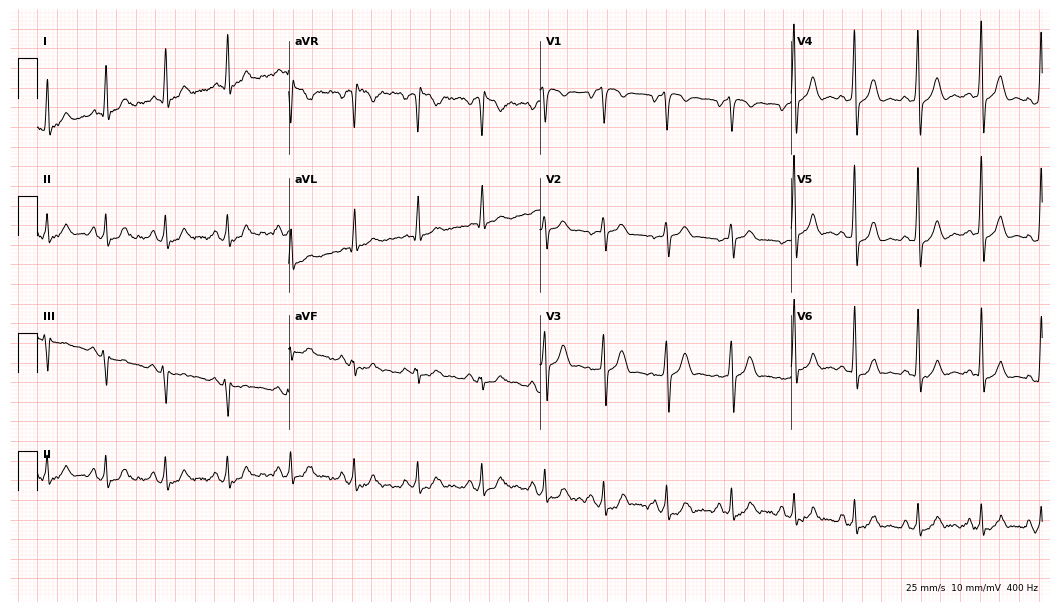
Standard 12-lead ECG recorded from a male, 40 years old. Read as a normal ECG.